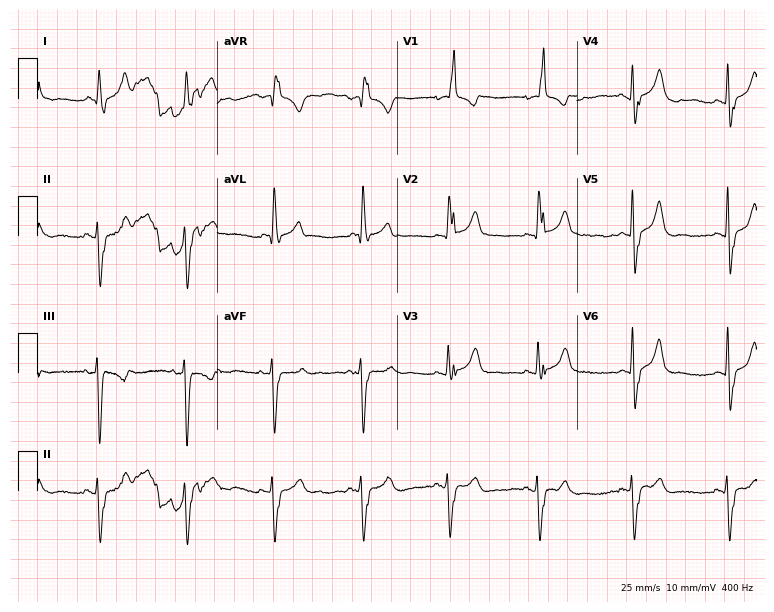
ECG — an 82-year-old female patient. Findings include right bundle branch block.